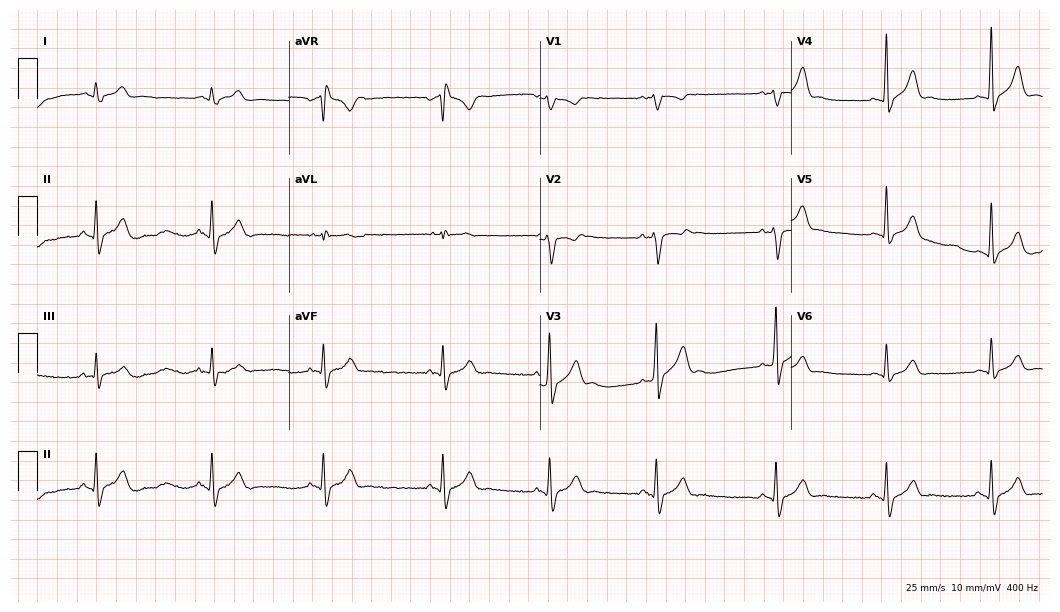
12-lead ECG from a 26-year-old male. No first-degree AV block, right bundle branch block, left bundle branch block, sinus bradycardia, atrial fibrillation or sinus tachycardia recorded for this tracing.